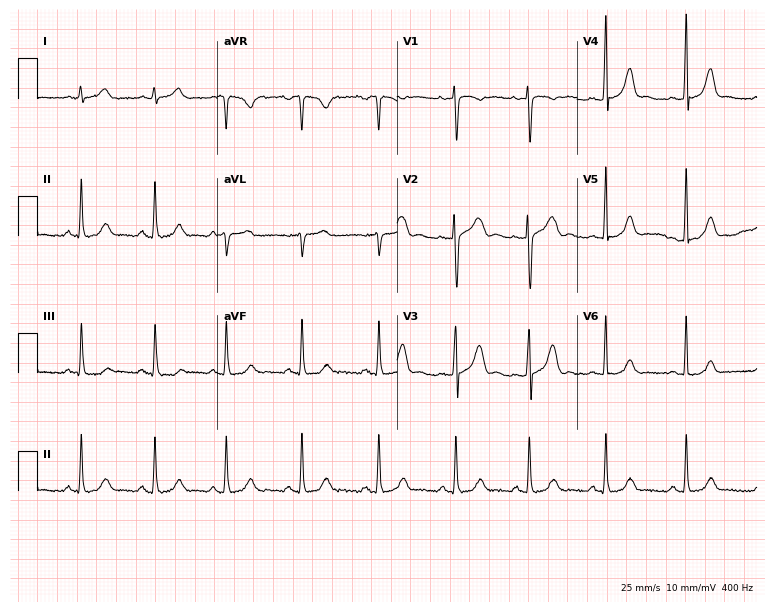
12-lead ECG from a 33-year-old female (7.3-second recording at 400 Hz). Recorded interpretation: within normal limits.